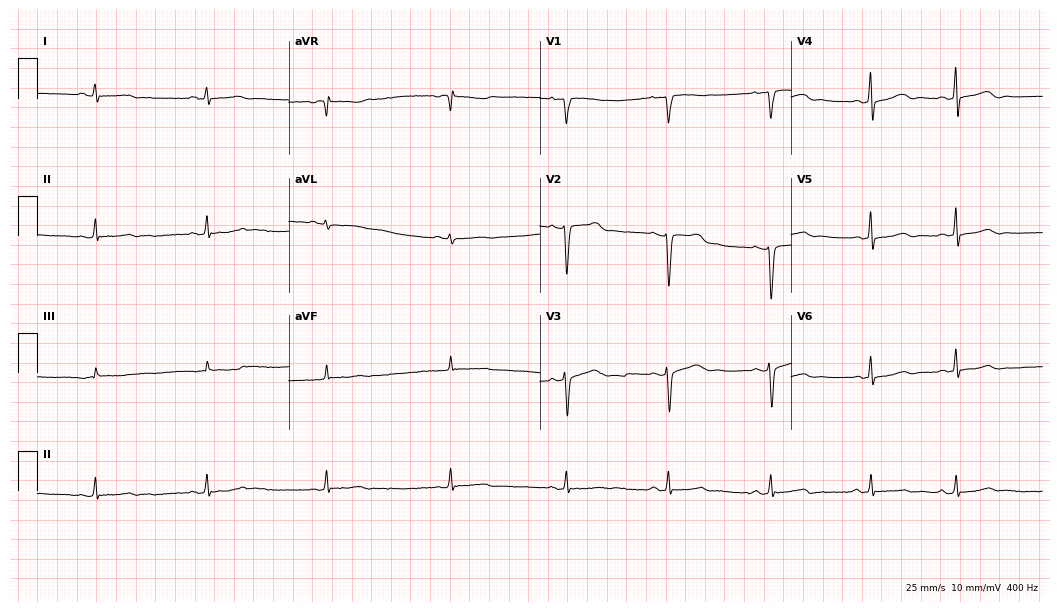
12-lead ECG from a woman, 30 years old. No first-degree AV block, right bundle branch block, left bundle branch block, sinus bradycardia, atrial fibrillation or sinus tachycardia recorded for this tracing. Other findings, if any, are not listed.